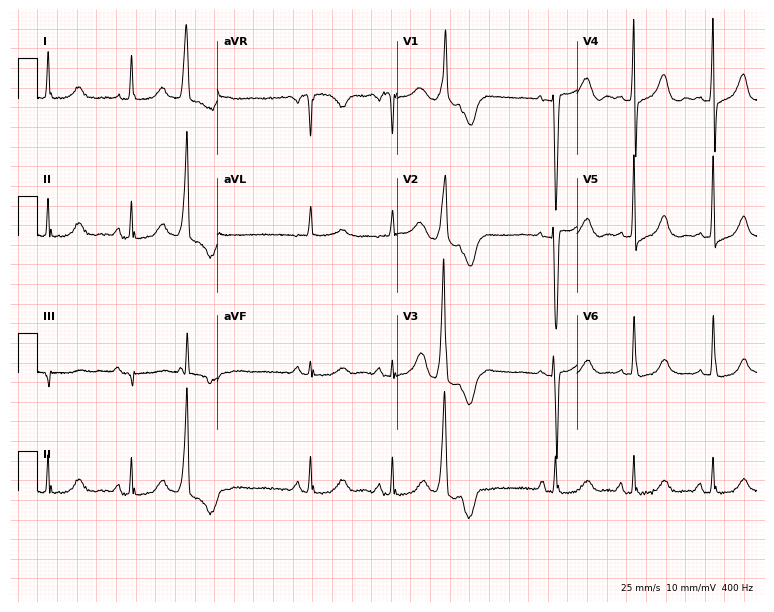
Electrocardiogram (7.3-second recording at 400 Hz), a 50-year-old woman. Of the six screened findings (first-degree AV block, right bundle branch block (RBBB), left bundle branch block (LBBB), sinus bradycardia, atrial fibrillation (AF), sinus tachycardia), none is recorded. Findings outside these six are not listed.